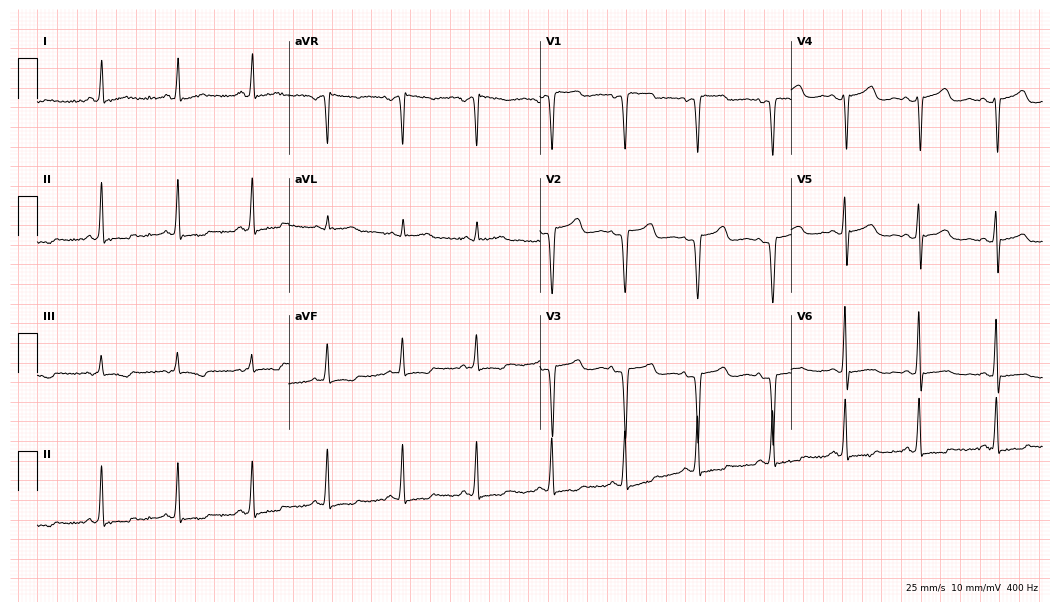
Standard 12-lead ECG recorded from a female, 37 years old. None of these six findings is recorded: first-degree AV block, right bundle branch block, left bundle branch block, sinus bradycardia, atrial fibrillation, sinus tachycardia. Other findings, if any, are not listed.